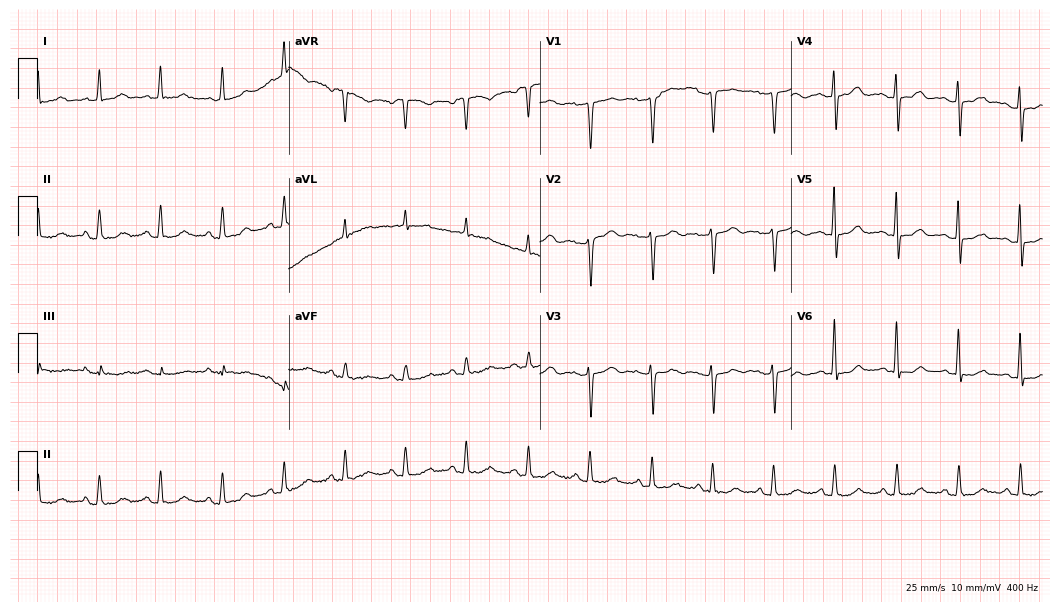
Electrocardiogram (10.2-second recording at 400 Hz), a 64-year-old female patient. Of the six screened findings (first-degree AV block, right bundle branch block, left bundle branch block, sinus bradycardia, atrial fibrillation, sinus tachycardia), none is recorded. Only these six findings were labelled.